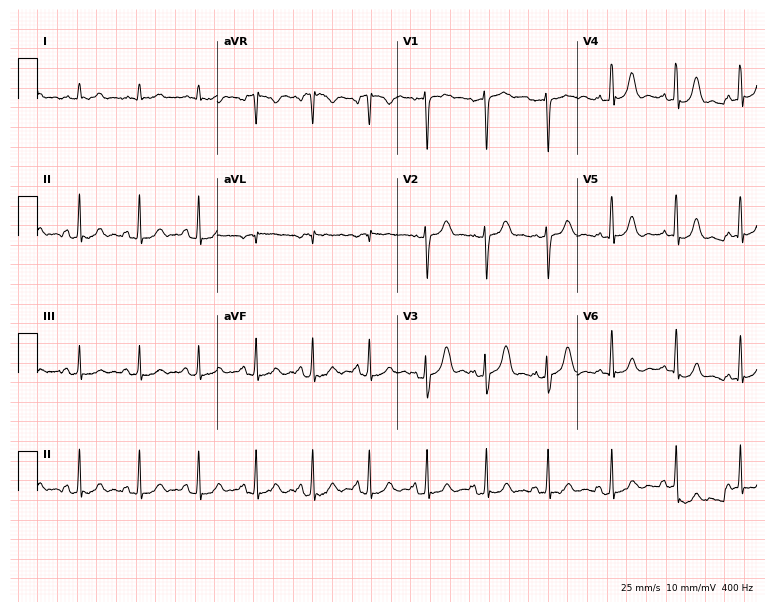
12-lead ECG (7.3-second recording at 400 Hz) from a 34-year-old woman. Screened for six findings — first-degree AV block, right bundle branch block, left bundle branch block, sinus bradycardia, atrial fibrillation, sinus tachycardia — none is recorded.